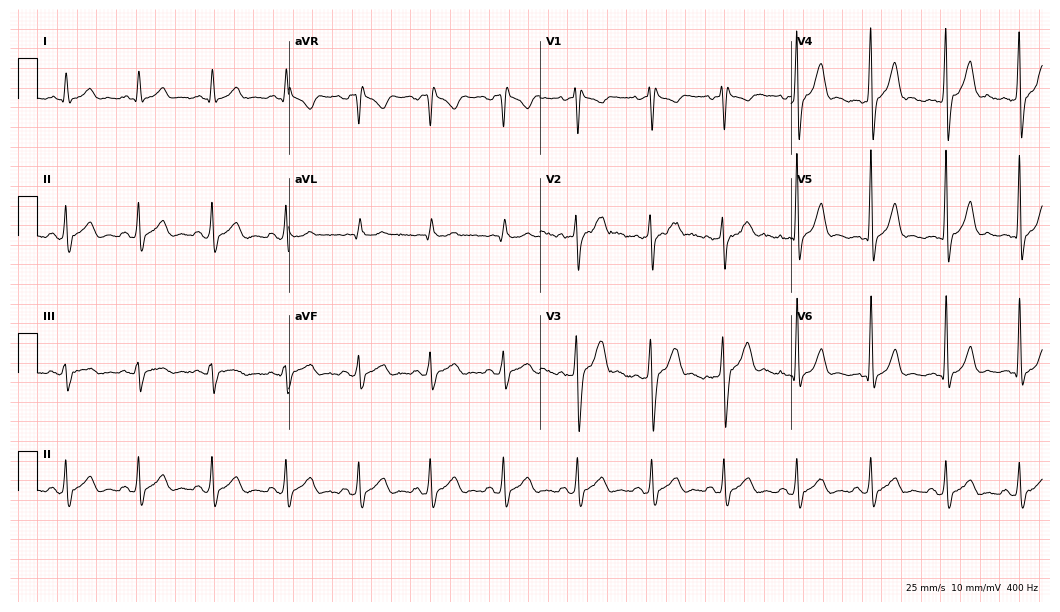
12-lead ECG from a 35-year-old male. No first-degree AV block, right bundle branch block (RBBB), left bundle branch block (LBBB), sinus bradycardia, atrial fibrillation (AF) or sinus tachycardia recorded for this tracing. Other findings, if any, are not listed.